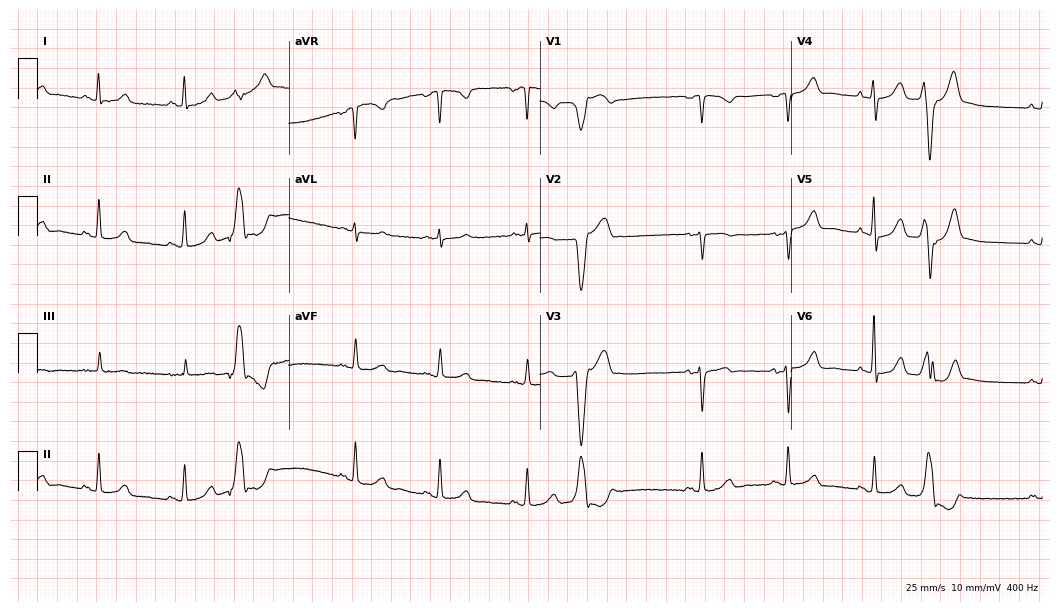
12-lead ECG (10.2-second recording at 400 Hz) from a female patient, 61 years old. Screened for six findings — first-degree AV block, right bundle branch block (RBBB), left bundle branch block (LBBB), sinus bradycardia, atrial fibrillation (AF), sinus tachycardia — none is recorded. Other findings, if any, are not listed.